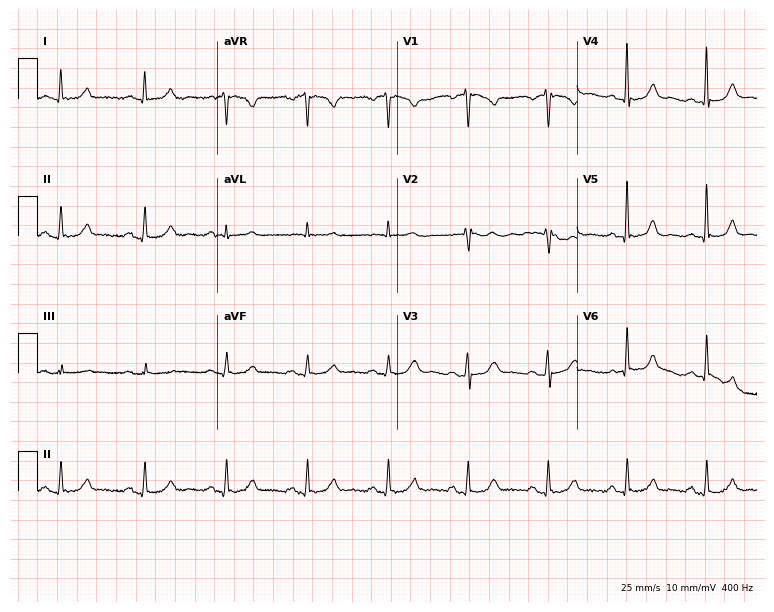
ECG — a 62-year-old man. Screened for six findings — first-degree AV block, right bundle branch block (RBBB), left bundle branch block (LBBB), sinus bradycardia, atrial fibrillation (AF), sinus tachycardia — none is recorded.